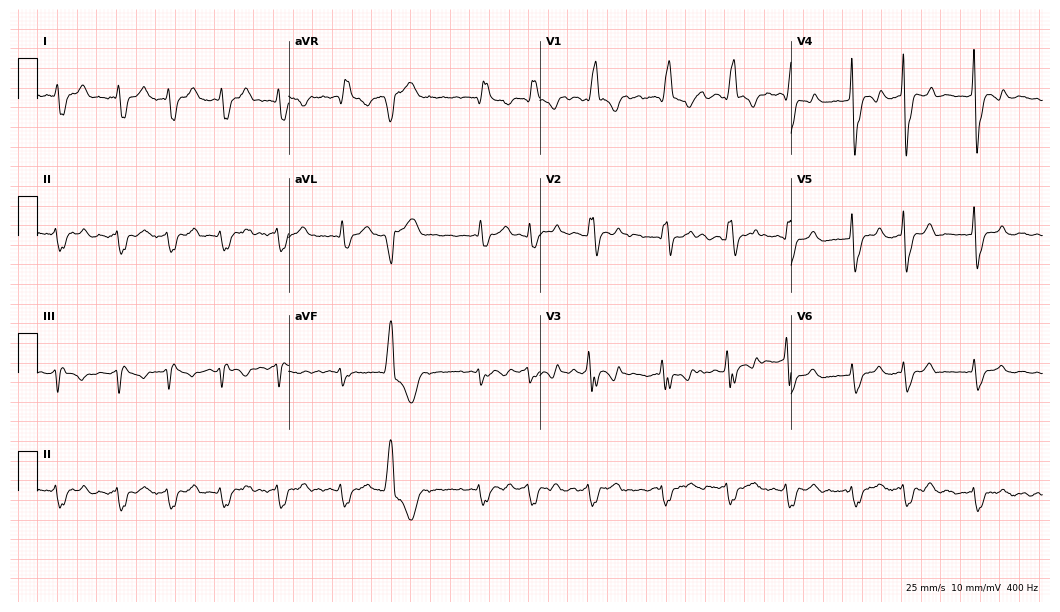
Resting 12-lead electrocardiogram (10.2-second recording at 400 Hz). Patient: a 56-year-old man. The tracing shows right bundle branch block, atrial fibrillation.